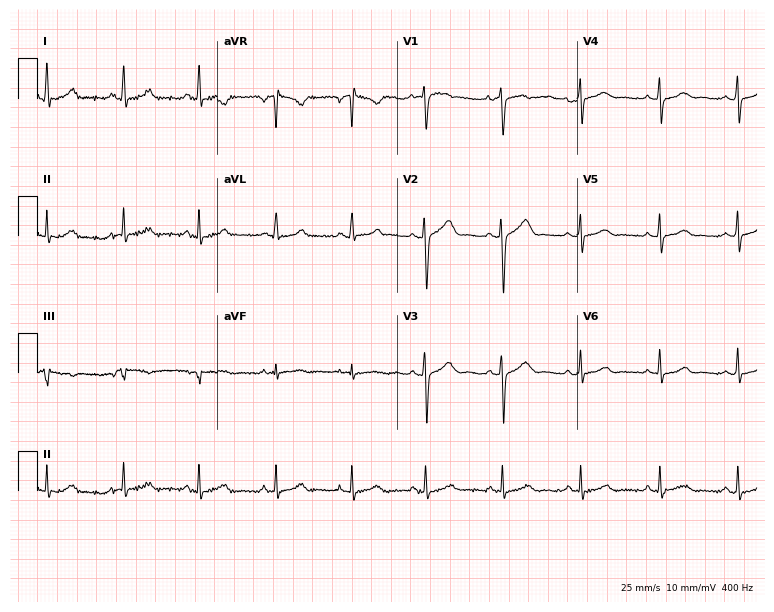
ECG — an 18-year-old female patient. Labelled as a normal ECG.